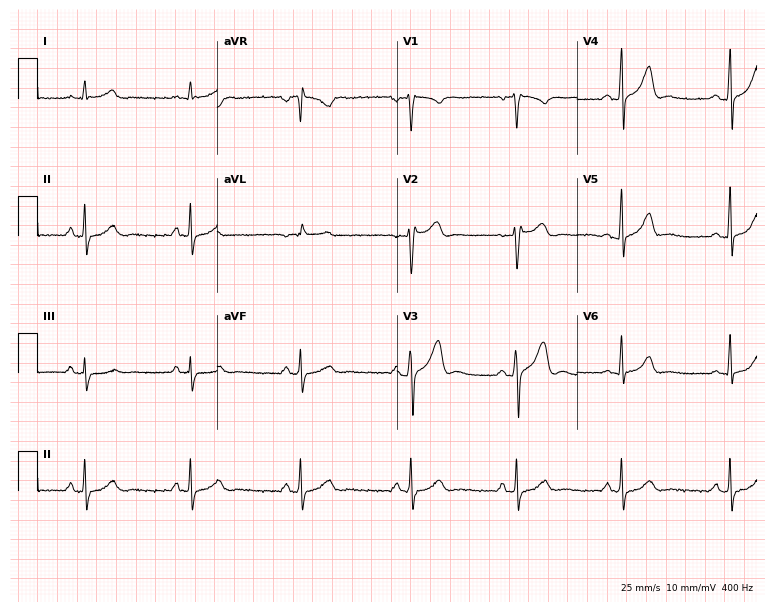
Electrocardiogram (7.3-second recording at 400 Hz), a 40-year-old man. Of the six screened findings (first-degree AV block, right bundle branch block, left bundle branch block, sinus bradycardia, atrial fibrillation, sinus tachycardia), none is recorded. Only these six findings were labelled.